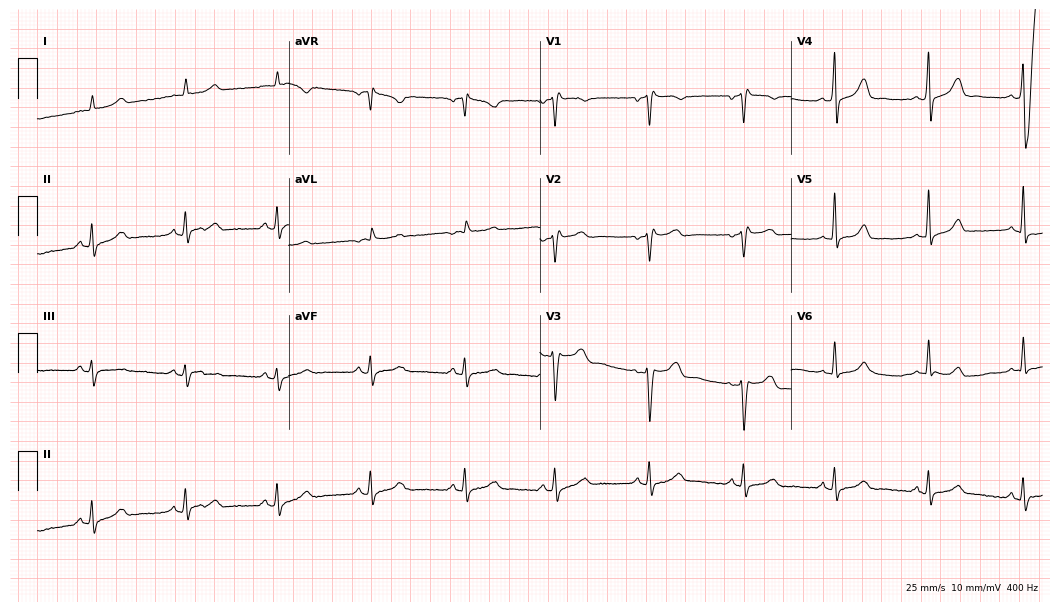
12-lead ECG (10.2-second recording at 400 Hz) from a female patient, 38 years old. Labelled as a normal ECG.